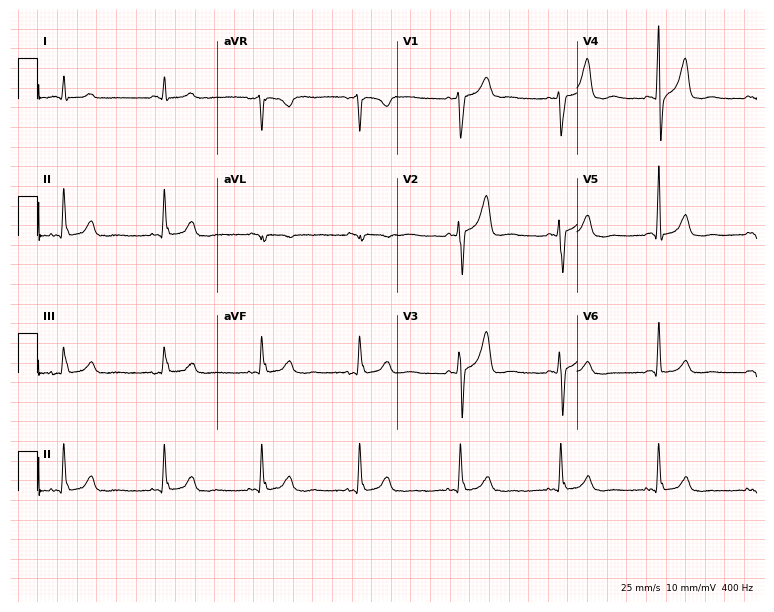
ECG — a 71-year-old male patient. Screened for six findings — first-degree AV block, right bundle branch block, left bundle branch block, sinus bradycardia, atrial fibrillation, sinus tachycardia — none is recorded.